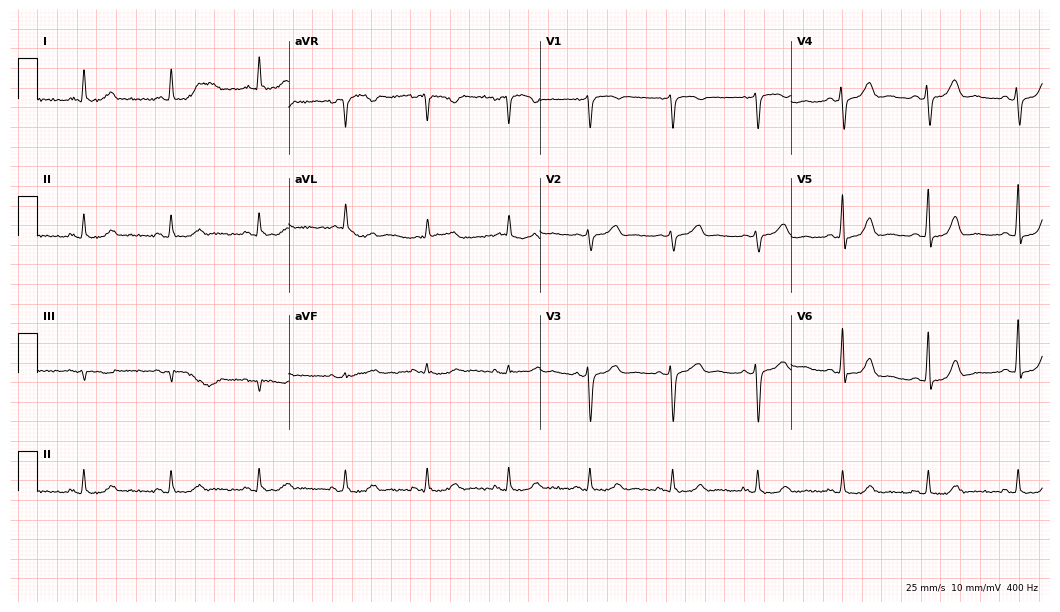
Resting 12-lead electrocardiogram (10.2-second recording at 400 Hz). Patient: a 66-year-old female. Read as a normal ECG.